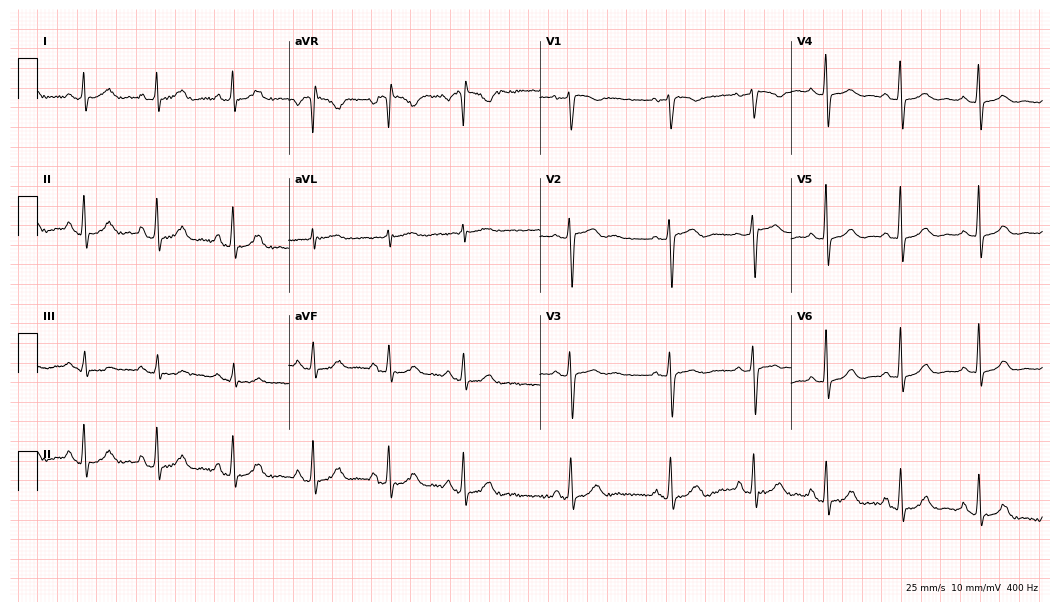
Electrocardiogram (10.2-second recording at 400 Hz), a 53-year-old woman. Overall reading on record: normal ECG.